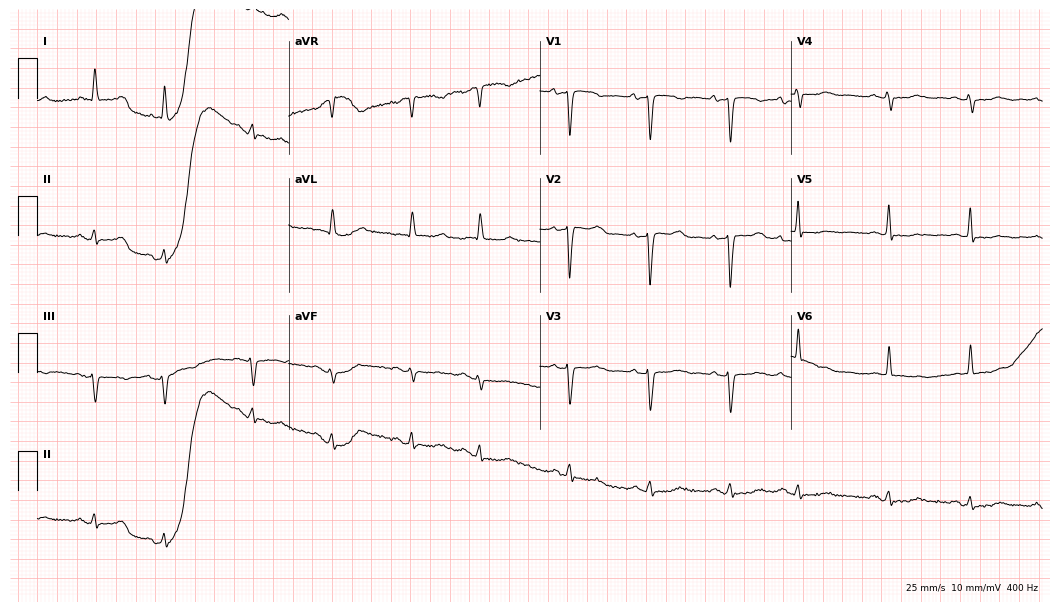
12-lead ECG from a female, 78 years old (10.2-second recording at 400 Hz). No first-degree AV block, right bundle branch block (RBBB), left bundle branch block (LBBB), sinus bradycardia, atrial fibrillation (AF) or sinus tachycardia recorded for this tracing.